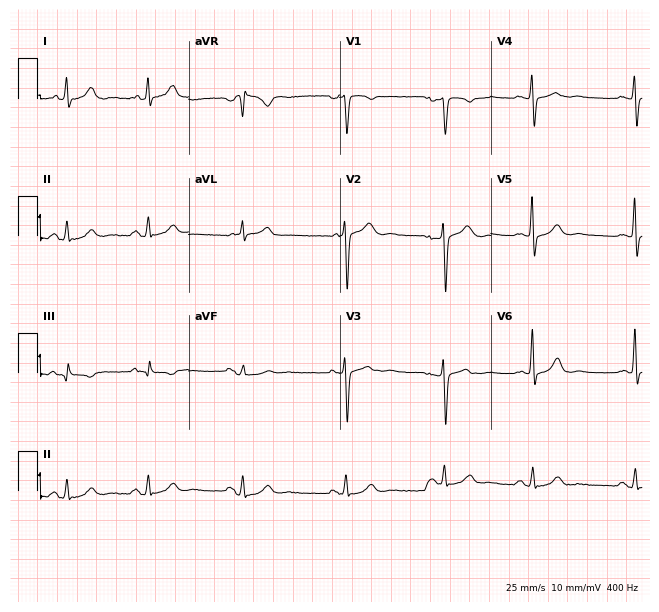
ECG — a 43-year-old female patient. Labelled as a normal ECG.